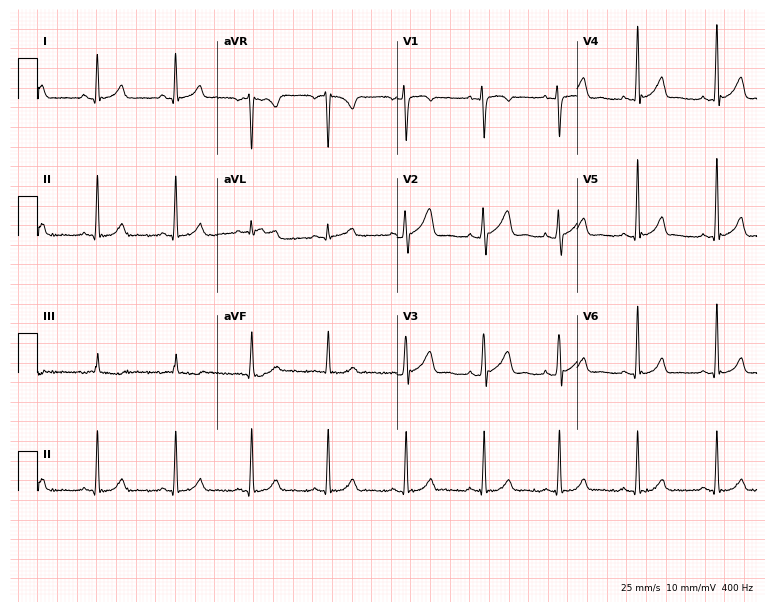
Resting 12-lead electrocardiogram. Patient: a female, 38 years old. None of these six findings is recorded: first-degree AV block, right bundle branch block (RBBB), left bundle branch block (LBBB), sinus bradycardia, atrial fibrillation (AF), sinus tachycardia.